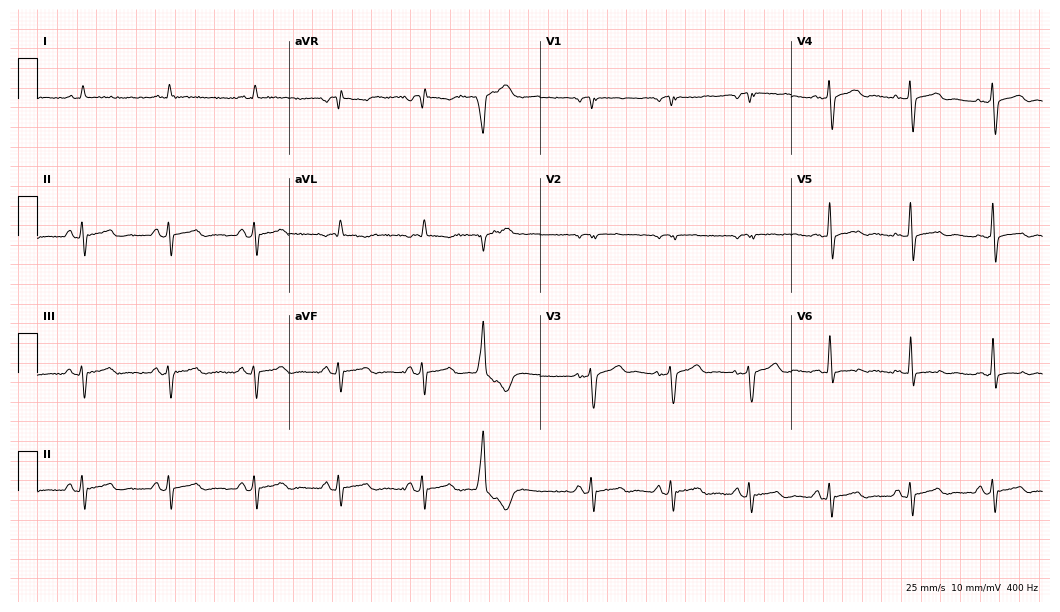
12-lead ECG from a 69-year-old male patient. No first-degree AV block, right bundle branch block (RBBB), left bundle branch block (LBBB), sinus bradycardia, atrial fibrillation (AF) or sinus tachycardia recorded for this tracing.